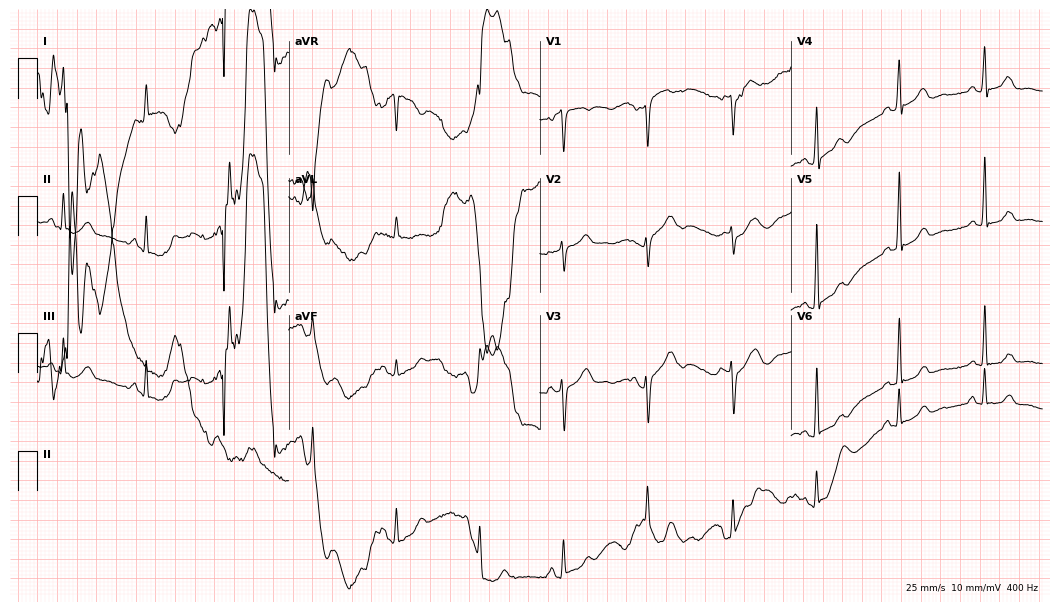
ECG (10.2-second recording at 400 Hz) — a female, 60 years old. Labelled as a normal ECG.